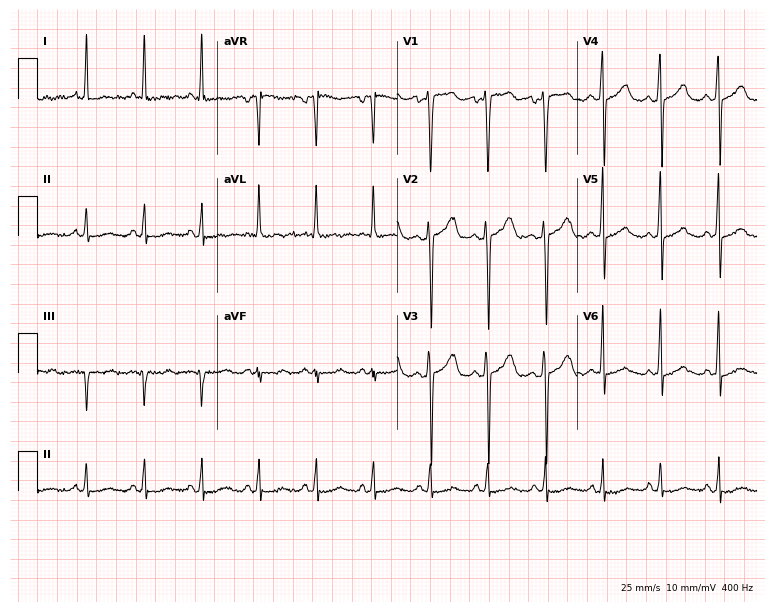
Standard 12-lead ECG recorded from a 45-year-old female patient. The tracing shows sinus tachycardia (a sinus rate of 100 beats per minute or more).